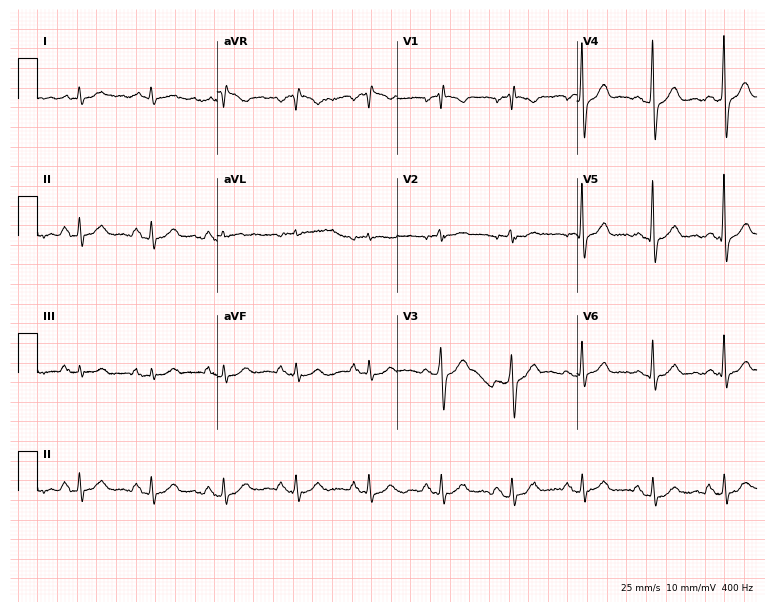
Standard 12-lead ECG recorded from a 73-year-old man (7.3-second recording at 400 Hz). None of these six findings is recorded: first-degree AV block, right bundle branch block (RBBB), left bundle branch block (LBBB), sinus bradycardia, atrial fibrillation (AF), sinus tachycardia. Findings outside these six are not listed.